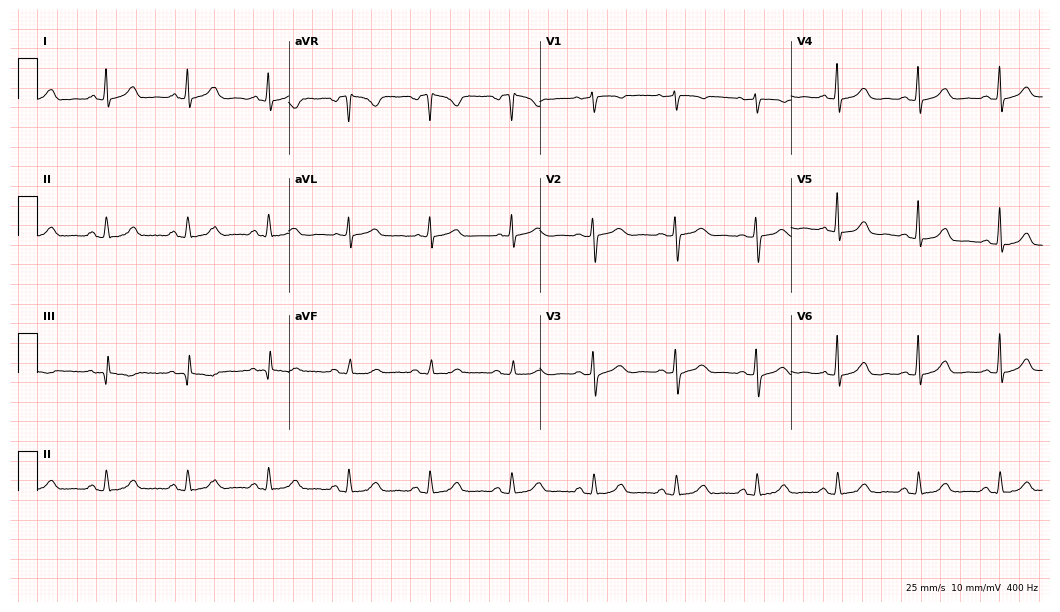
Resting 12-lead electrocardiogram. Patient: a 58-year-old female. Read as a normal ECG.